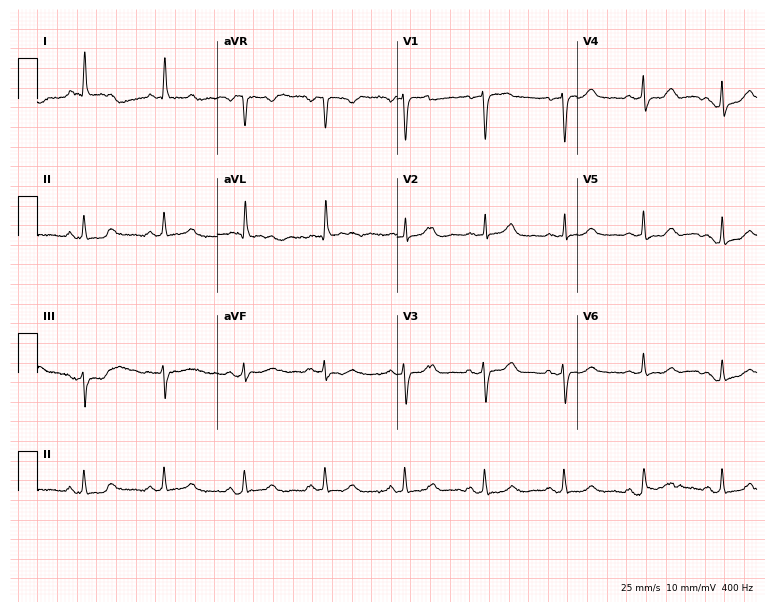
ECG — a female, 69 years old. Labelled as a normal ECG.